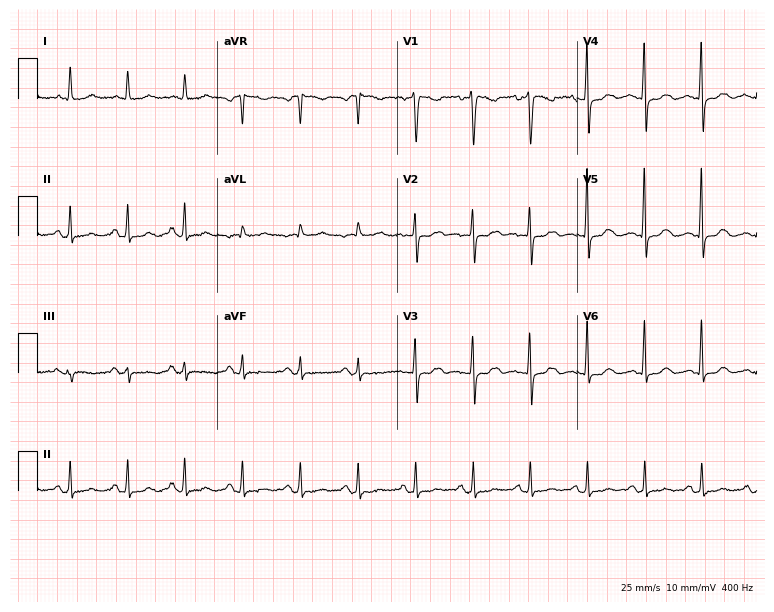
Electrocardiogram, a 52-year-old female. Of the six screened findings (first-degree AV block, right bundle branch block, left bundle branch block, sinus bradycardia, atrial fibrillation, sinus tachycardia), none is recorded.